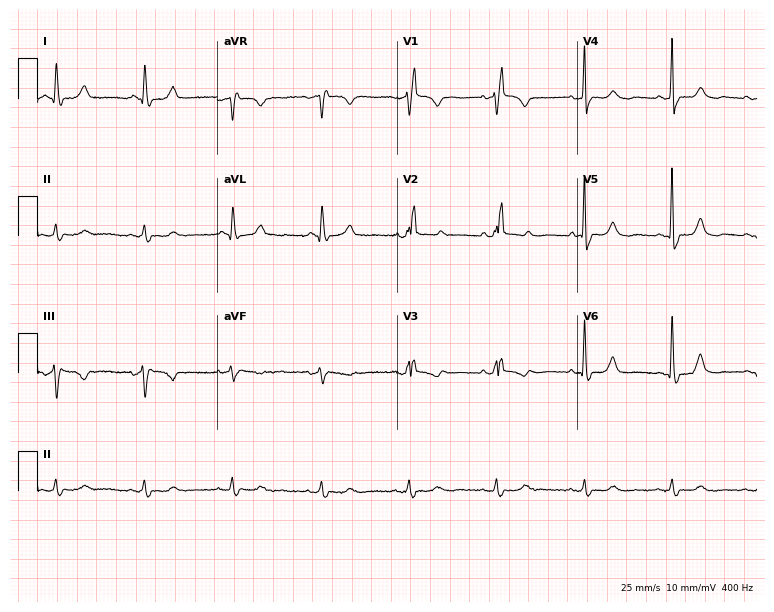
12-lead ECG from an 82-year-old woman (7.3-second recording at 400 Hz). No first-degree AV block, right bundle branch block, left bundle branch block, sinus bradycardia, atrial fibrillation or sinus tachycardia recorded for this tracing.